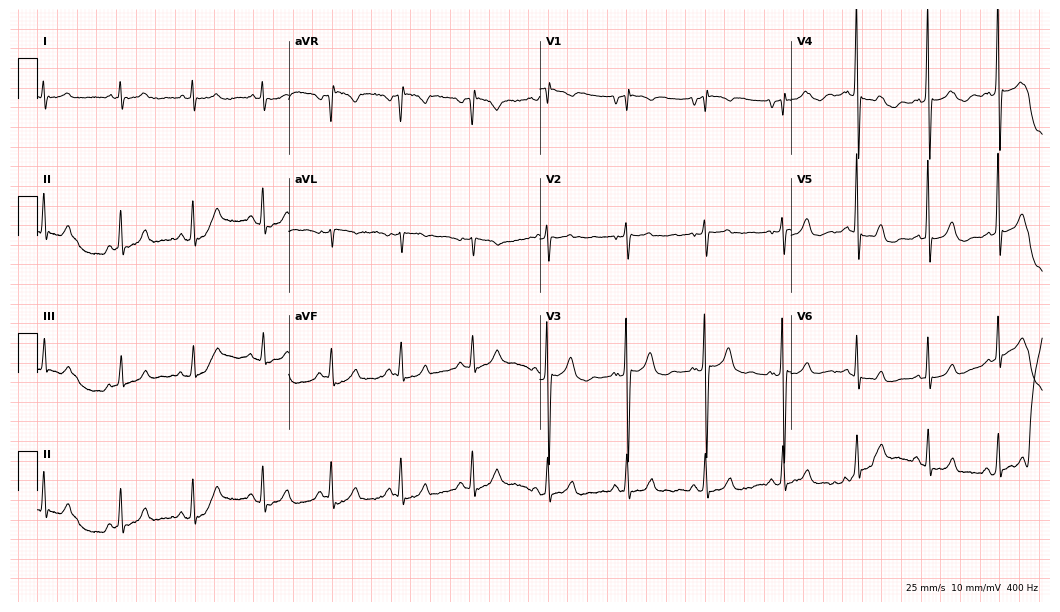
Standard 12-lead ECG recorded from a 68-year-old male patient (10.2-second recording at 400 Hz). Read as a normal ECG.